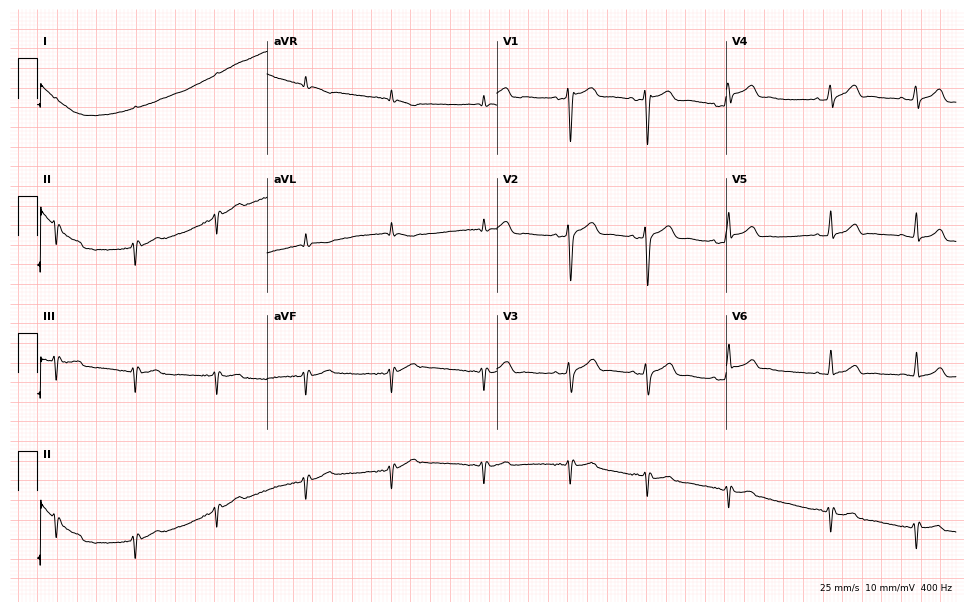
Standard 12-lead ECG recorded from a 29-year-old female. None of these six findings is recorded: first-degree AV block, right bundle branch block, left bundle branch block, sinus bradycardia, atrial fibrillation, sinus tachycardia. Only these six findings were labelled.